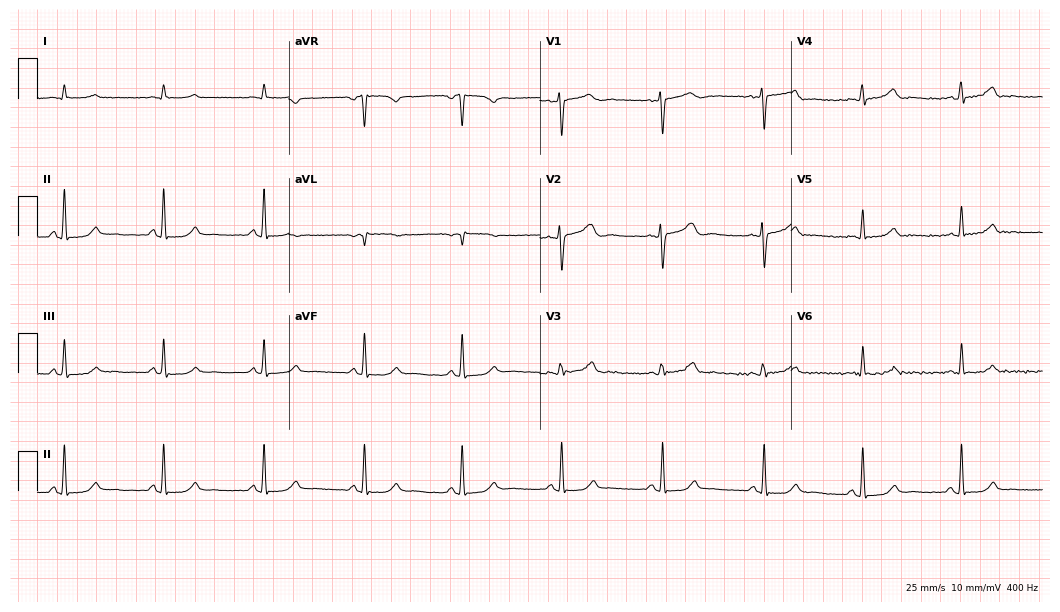
Electrocardiogram (10.2-second recording at 400 Hz), a 42-year-old female patient. Of the six screened findings (first-degree AV block, right bundle branch block (RBBB), left bundle branch block (LBBB), sinus bradycardia, atrial fibrillation (AF), sinus tachycardia), none is recorded. Findings outside these six are not listed.